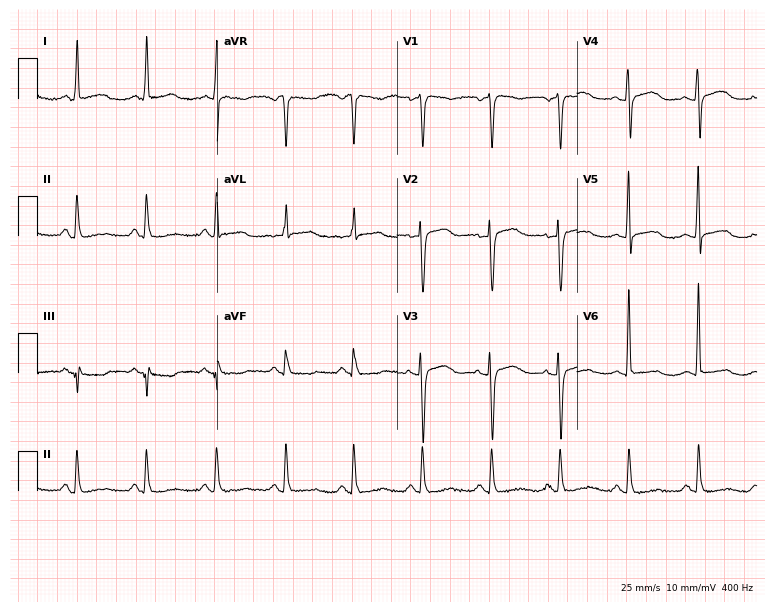
Resting 12-lead electrocardiogram. Patient: a female, 74 years old. None of these six findings is recorded: first-degree AV block, right bundle branch block, left bundle branch block, sinus bradycardia, atrial fibrillation, sinus tachycardia.